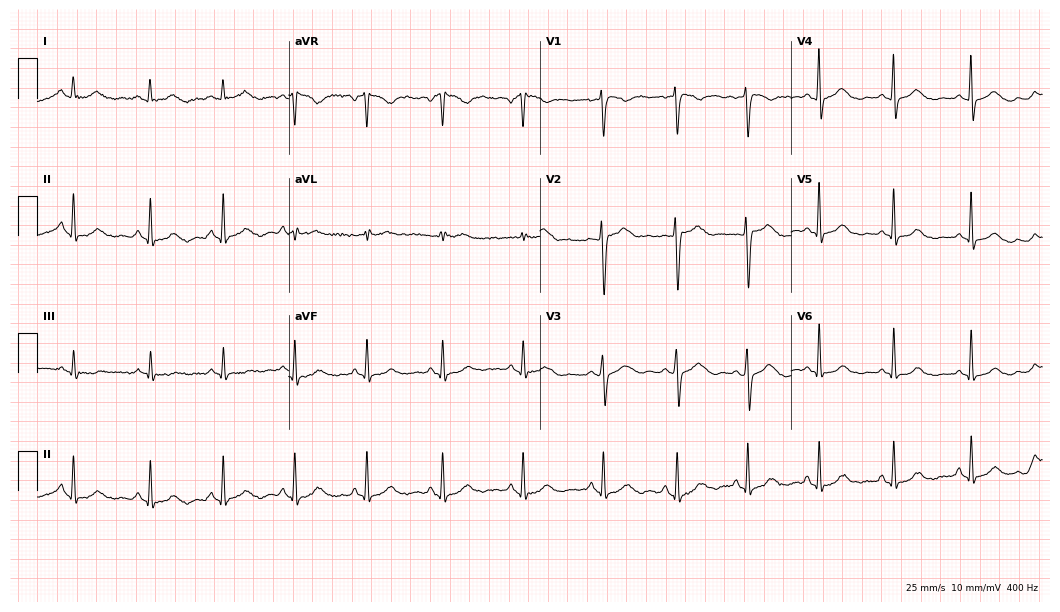
12-lead ECG from a female patient, 45 years old. Labelled as a normal ECG.